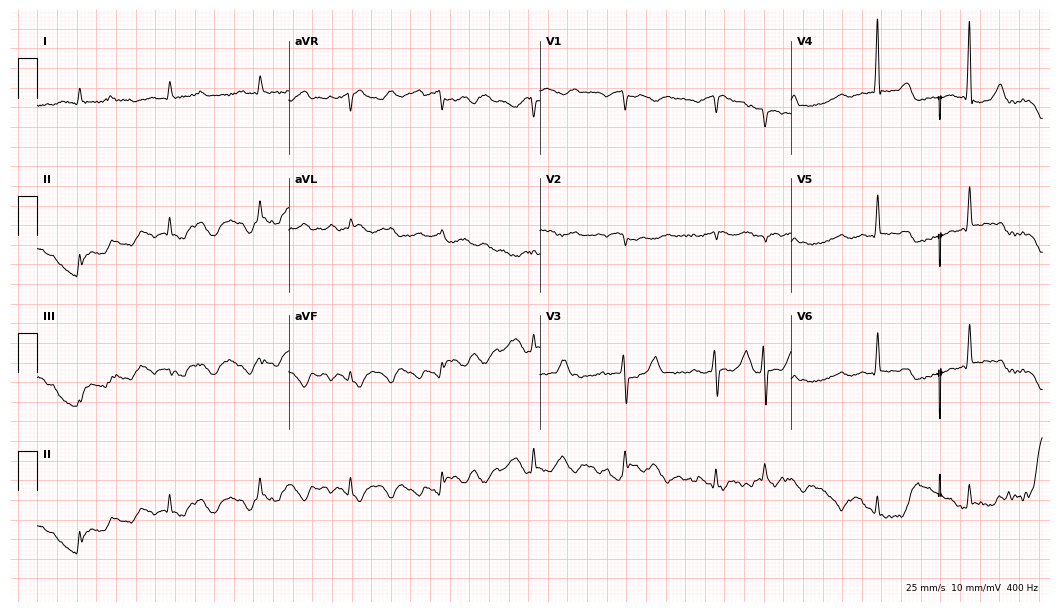
Standard 12-lead ECG recorded from a male, 79 years old. None of these six findings is recorded: first-degree AV block, right bundle branch block, left bundle branch block, sinus bradycardia, atrial fibrillation, sinus tachycardia.